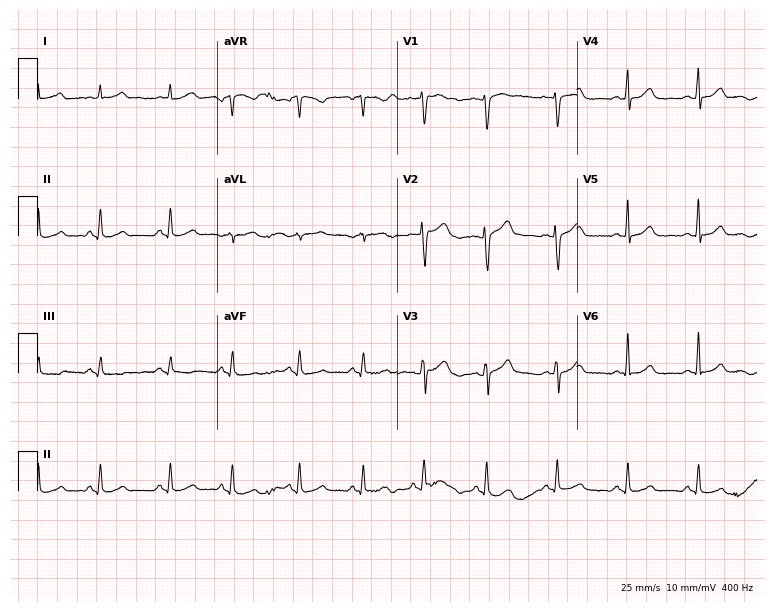
12-lead ECG from a 41-year-old female patient. No first-degree AV block, right bundle branch block, left bundle branch block, sinus bradycardia, atrial fibrillation or sinus tachycardia recorded for this tracing. Findings outside these six are not listed.